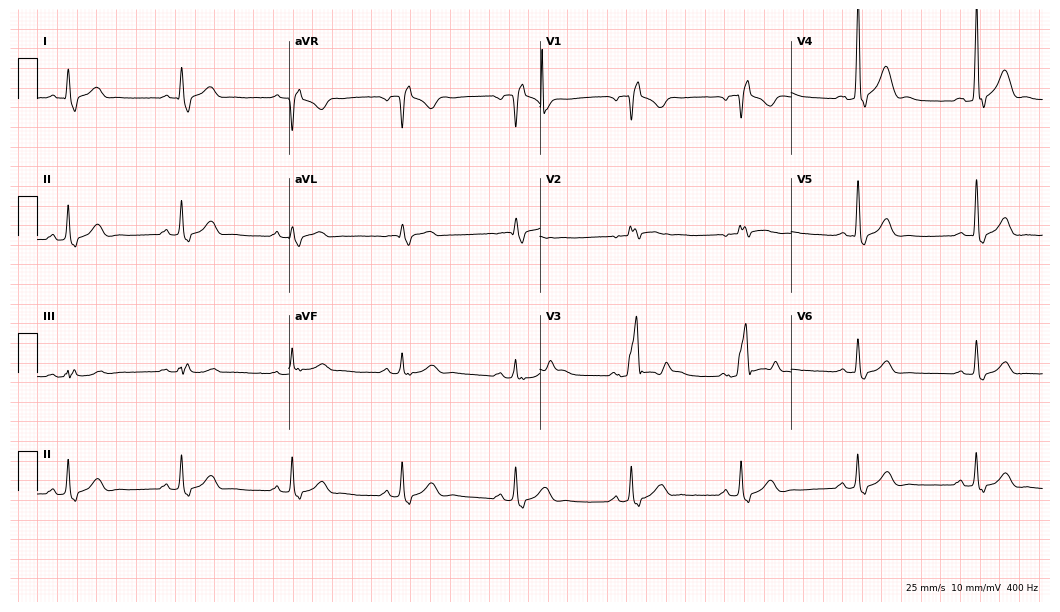
ECG — a male, 56 years old. Screened for six findings — first-degree AV block, right bundle branch block, left bundle branch block, sinus bradycardia, atrial fibrillation, sinus tachycardia — none is recorded.